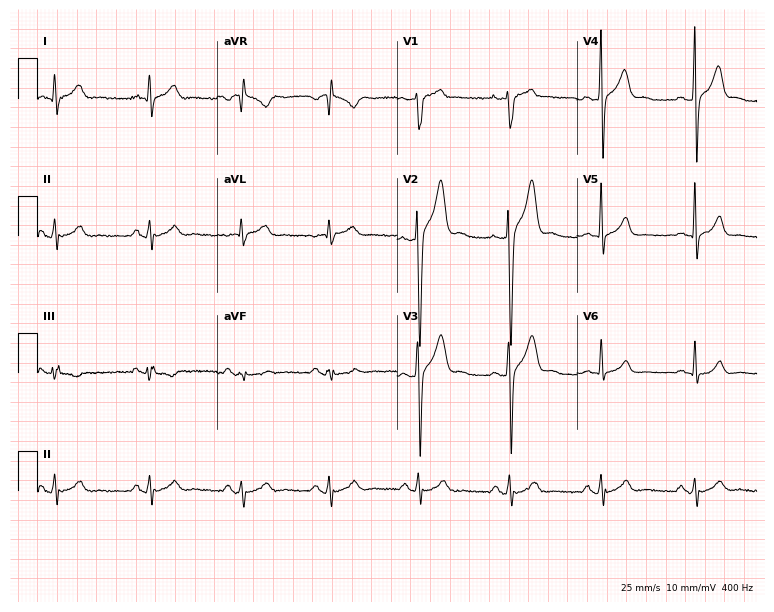
12-lead ECG from a male, 23 years old (7.3-second recording at 400 Hz). No first-degree AV block, right bundle branch block (RBBB), left bundle branch block (LBBB), sinus bradycardia, atrial fibrillation (AF) or sinus tachycardia recorded for this tracing.